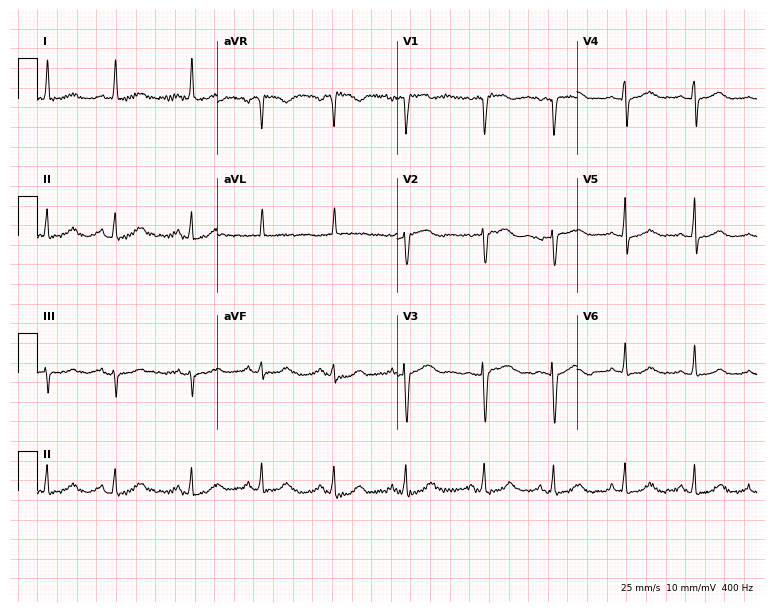
Resting 12-lead electrocardiogram (7.3-second recording at 400 Hz). Patient: a 55-year-old female. None of these six findings is recorded: first-degree AV block, right bundle branch block (RBBB), left bundle branch block (LBBB), sinus bradycardia, atrial fibrillation (AF), sinus tachycardia. Findings outside these six are not listed.